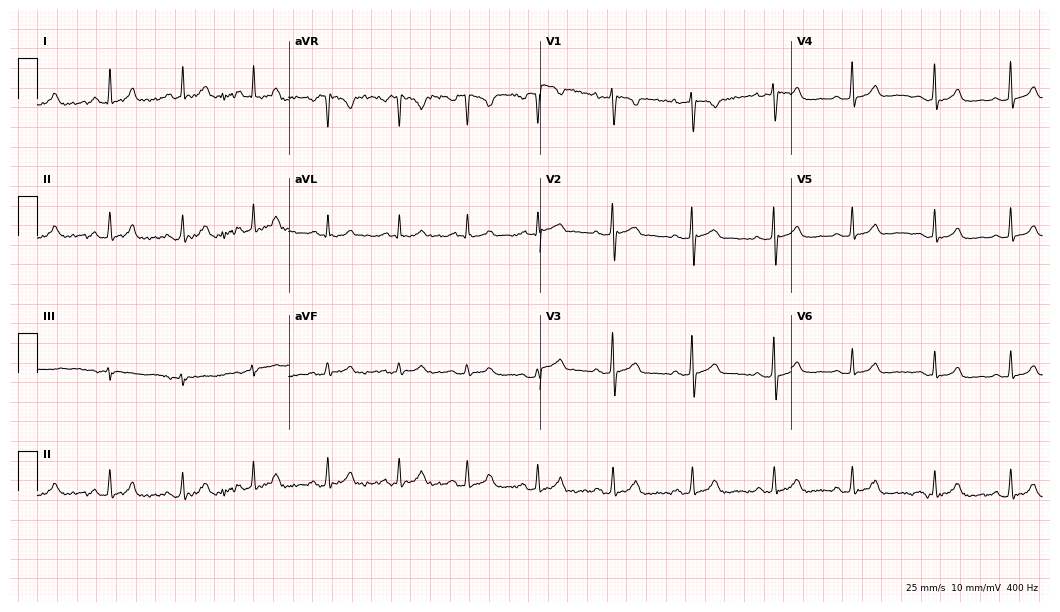
Resting 12-lead electrocardiogram. Patient: a 37-year-old female. None of these six findings is recorded: first-degree AV block, right bundle branch block, left bundle branch block, sinus bradycardia, atrial fibrillation, sinus tachycardia.